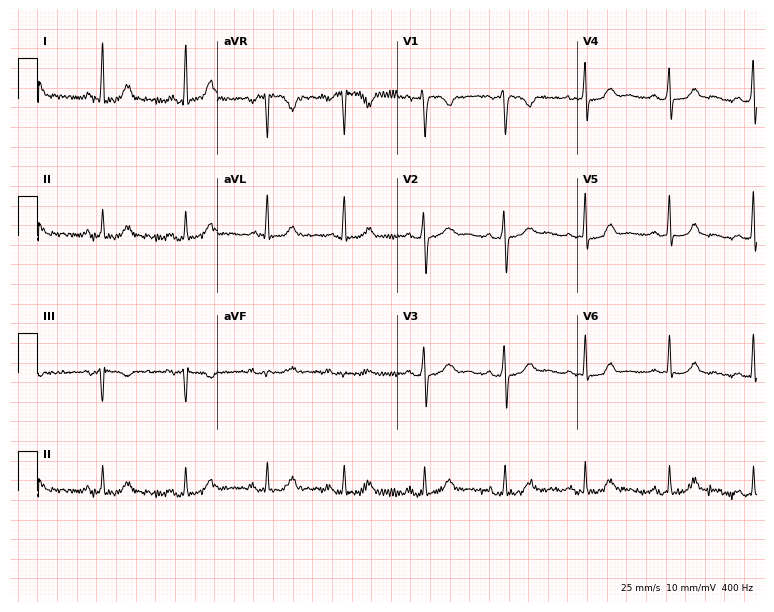
12-lead ECG from a woman, 34 years old. No first-degree AV block, right bundle branch block, left bundle branch block, sinus bradycardia, atrial fibrillation or sinus tachycardia recorded for this tracing. Other findings, if any, are not listed.